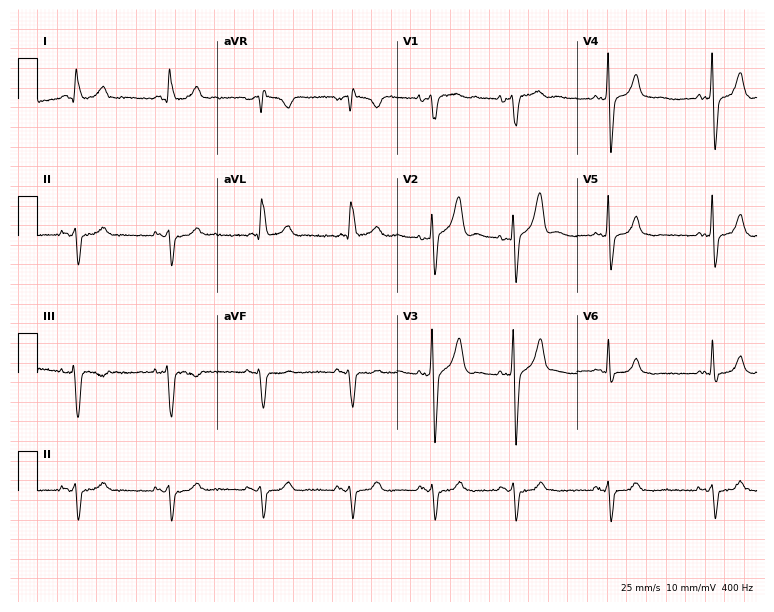
Electrocardiogram, a male patient, 64 years old. Of the six screened findings (first-degree AV block, right bundle branch block (RBBB), left bundle branch block (LBBB), sinus bradycardia, atrial fibrillation (AF), sinus tachycardia), none is recorded.